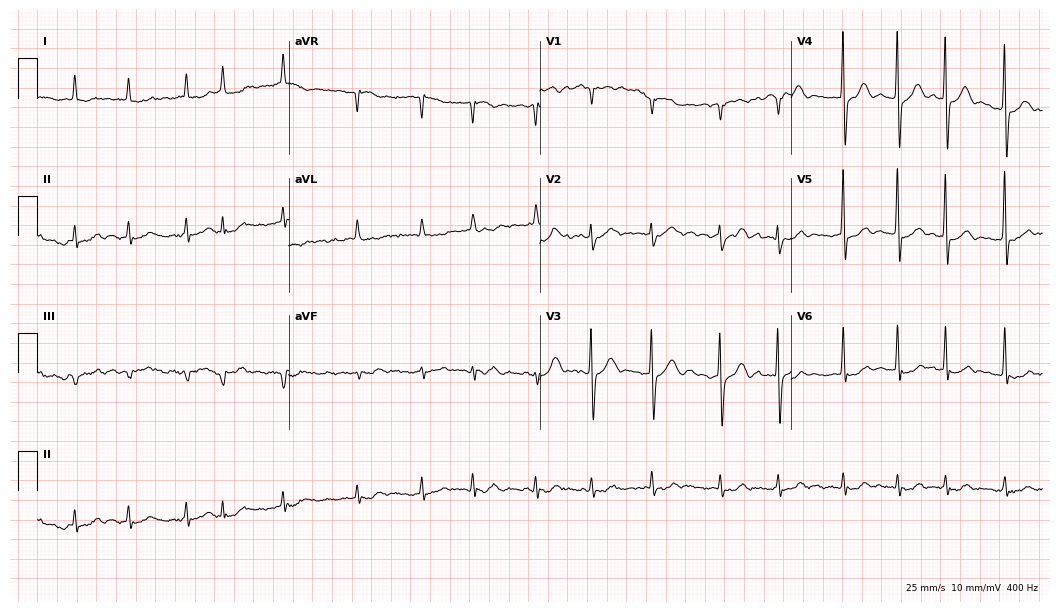
Electrocardiogram (10.2-second recording at 400 Hz), a man, 83 years old. Interpretation includes atrial fibrillation.